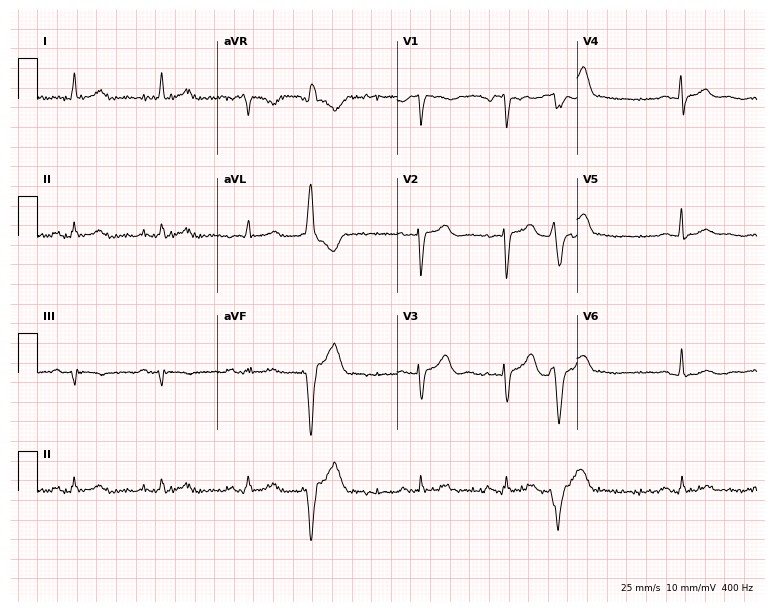
ECG (7.3-second recording at 400 Hz) — a man, 81 years old. Screened for six findings — first-degree AV block, right bundle branch block, left bundle branch block, sinus bradycardia, atrial fibrillation, sinus tachycardia — none is recorded.